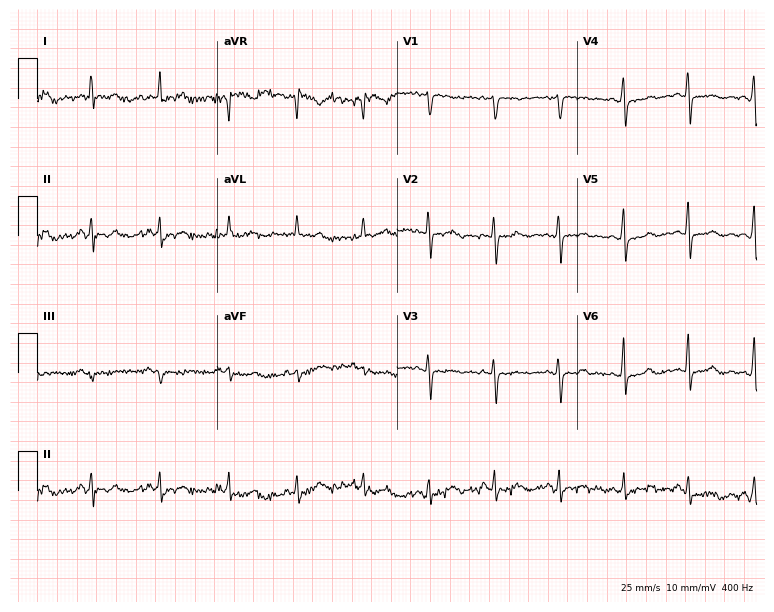
12-lead ECG from a 54-year-old female patient (7.3-second recording at 400 Hz). No first-degree AV block, right bundle branch block (RBBB), left bundle branch block (LBBB), sinus bradycardia, atrial fibrillation (AF) or sinus tachycardia recorded for this tracing. Only these six findings were labelled.